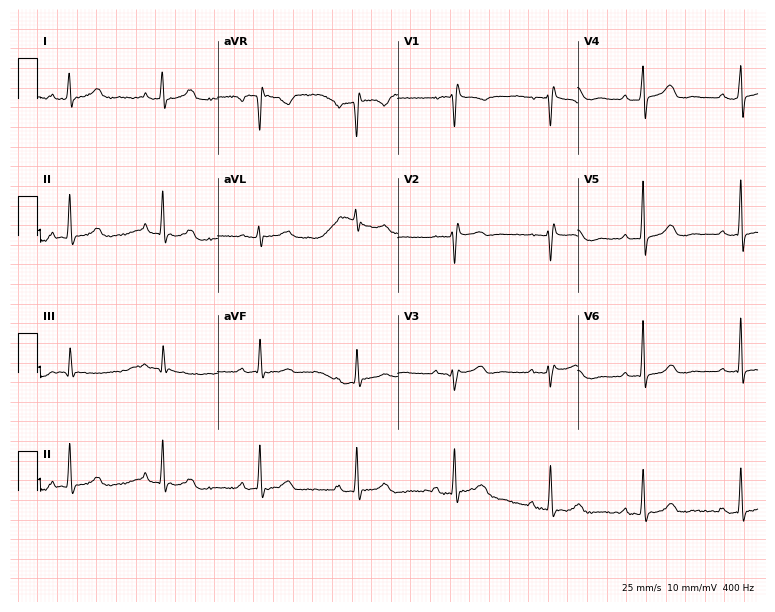
ECG (7.3-second recording at 400 Hz) — a female patient, 63 years old. Screened for six findings — first-degree AV block, right bundle branch block (RBBB), left bundle branch block (LBBB), sinus bradycardia, atrial fibrillation (AF), sinus tachycardia — none is recorded. Other findings, if any, are not listed.